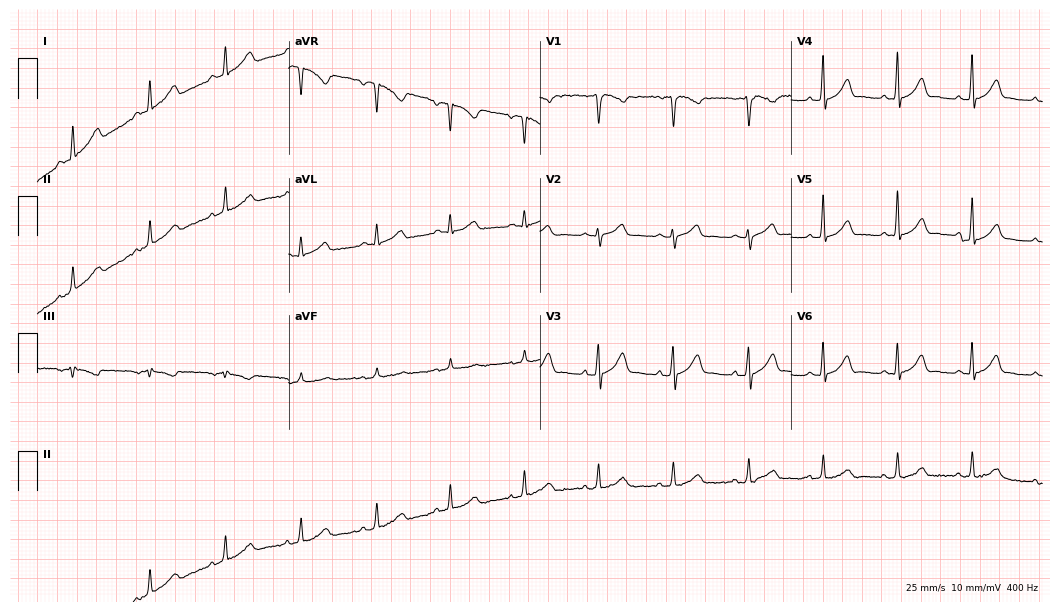
ECG — a female, 39 years old. Screened for six findings — first-degree AV block, right bundle branch block, left bundle branch block, sinus bradycardia, atrial fibrillation, sinus tachycardia — none is recorded.